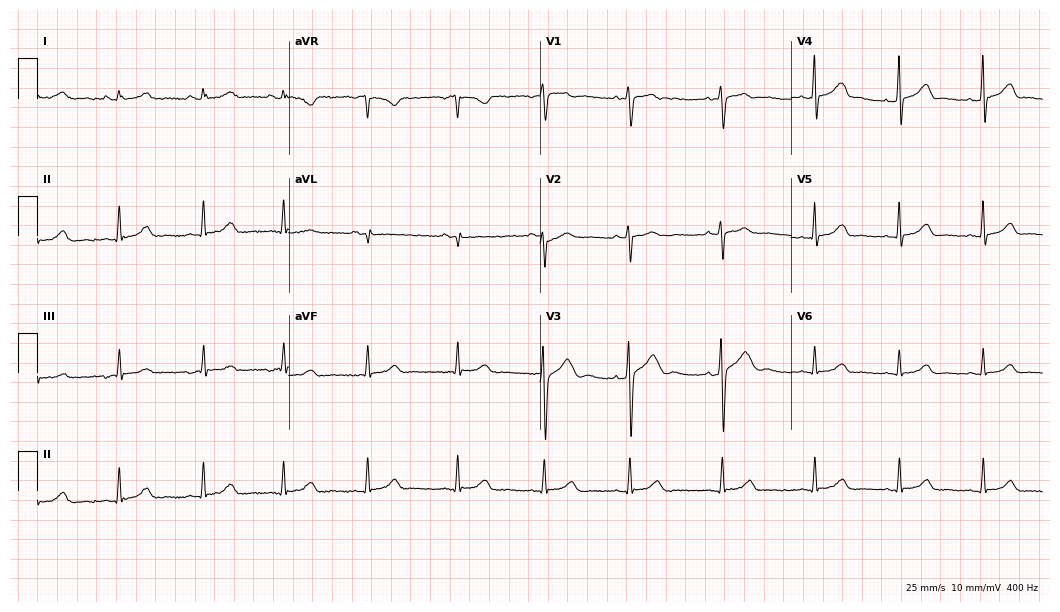
12-lead ECG from a 20-year-old woman. Recorded interpretation: within normal limits.